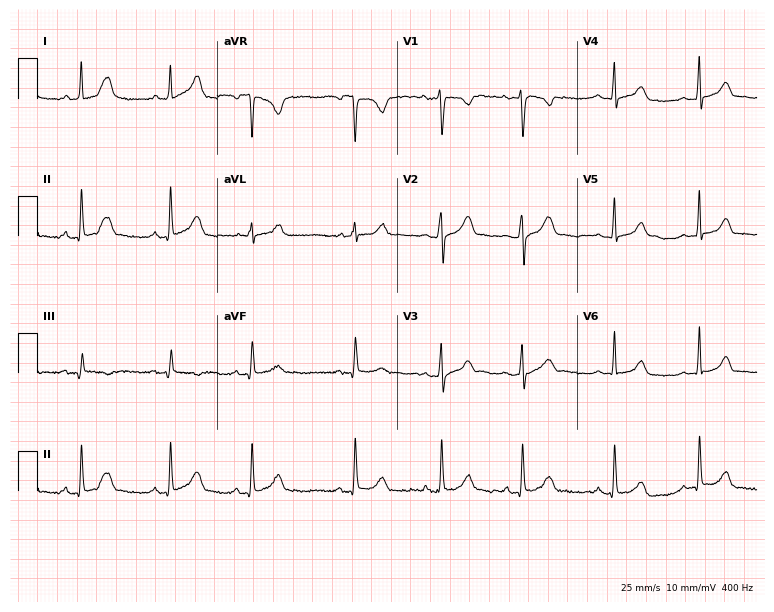
12-lead ECG (7.3-second recording at 400 Hz) from an 18-year-old woman. Labelled as a normal ECG.